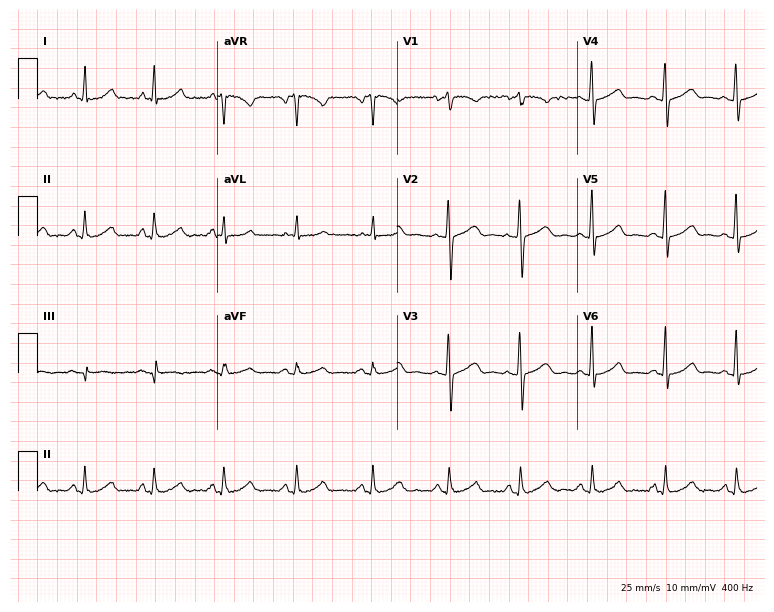
Resting 12-lead electrocardiogram (7.3-second recording at 400 Hz). Patient: a female, 54 years old. Read as a normal ECG.